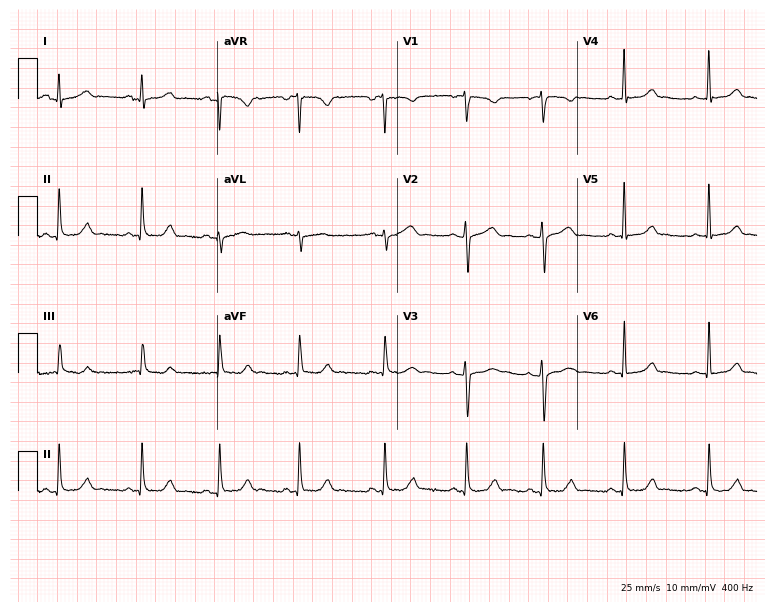
Standard 12-lead ECG recorded from a female patient, 18 years old (7.3-second recording at 400 Hz). Read as a normal ECG.